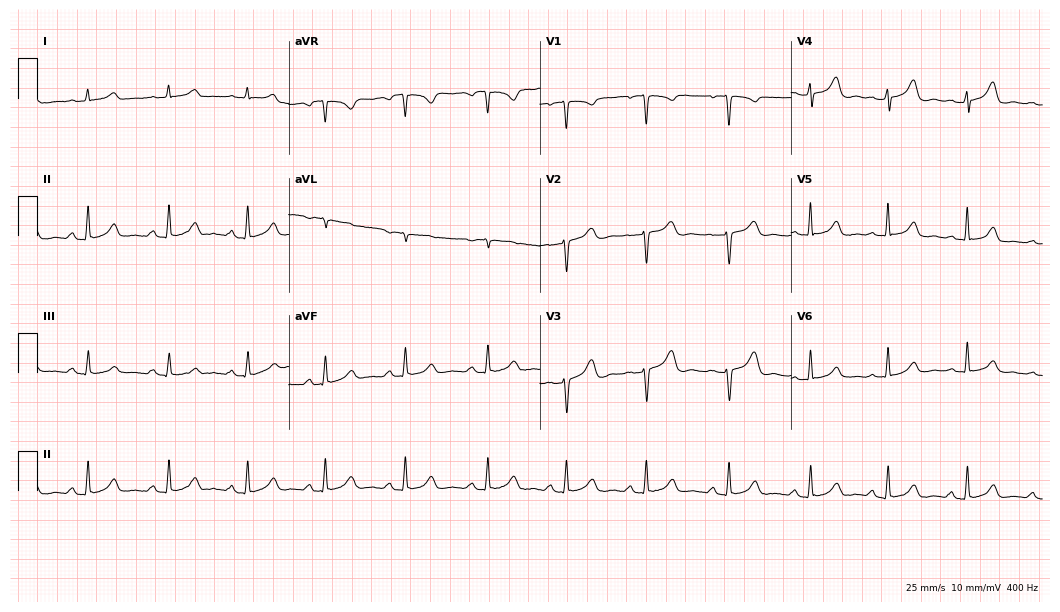
ECG — a 25-year-old female. Labelled as a normal ECG.